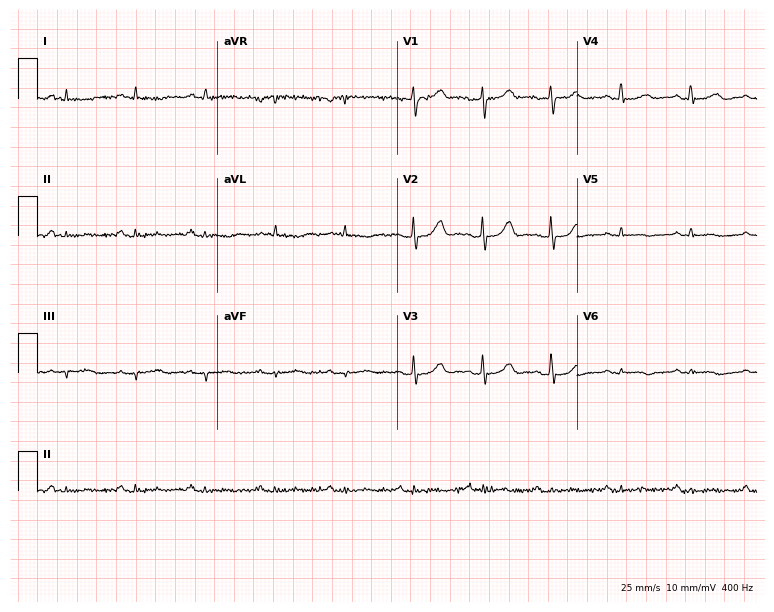
Standard 12-lead ECG recorded from a 69-year-old female. None of these six findings is recorded: first-degree AV block, right bundle branch block, left bundle branch block, sinus bradycardia, atrial fibrillation, sinus tachycardia. Other findings, if any, are not listed.